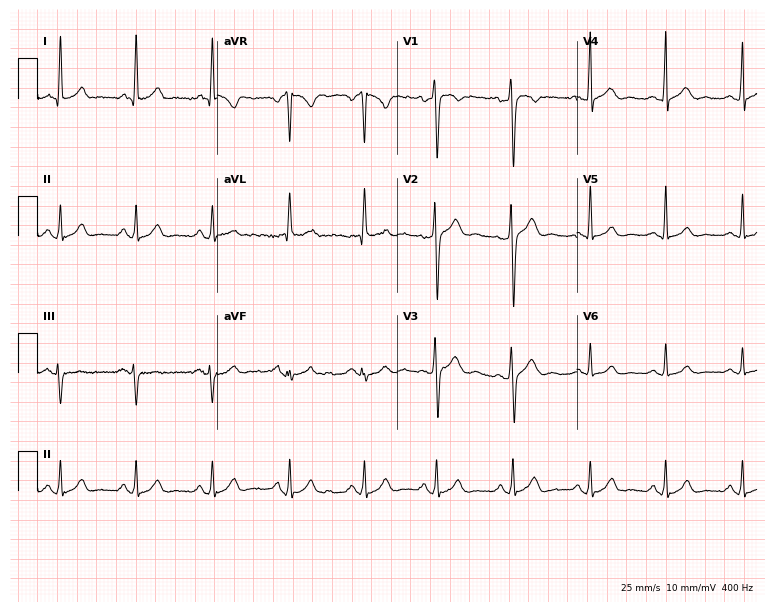
12-lead ECG (7.3-second recording at 400 Hz) from a male, 24 years old. Screened for six findings — first-degree AV block, right bundle branch block, left bundle branch block, sinus bradycardia, atrial fibrillation, sinus tachycardia — none is recorded. Other findings, if any, are not listed.